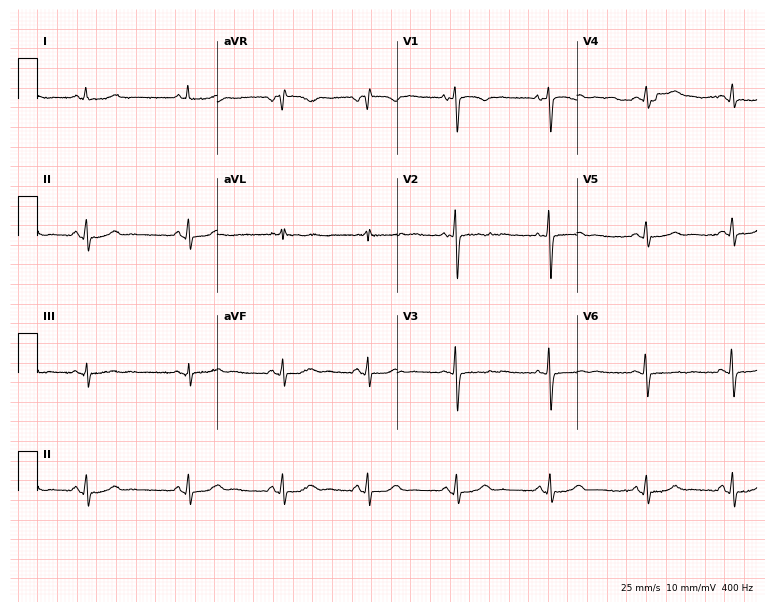
Standard 12-lead ECG recorded from a 43-year-old female. None of these six findings is recorded: first-degree AV block, right bundle branch block, left bundle branch block, sinus bradycardia, atrial fibrillation, sinus tachycardia. Other findings, if any, are not listed.